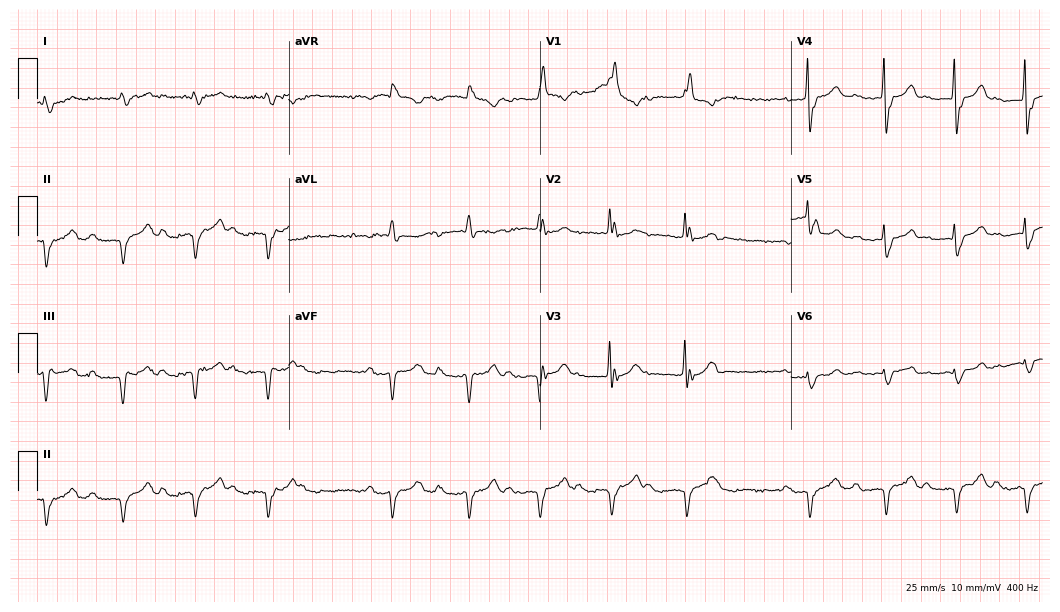
Standard 12-lead ECG recorded from a male patient, 78 years old. None of these six findings is recorded: first-degree AV block, right bundle branch block, left bundle branch block, sinus bradycardia, atrial fibrillation, sinus tachycardia.